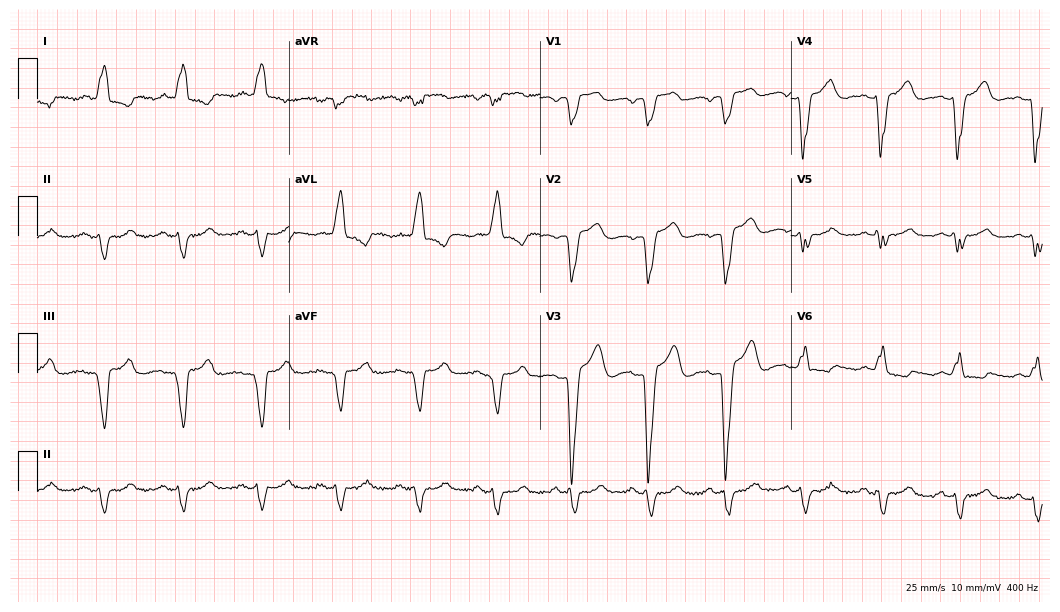
12-lead ECG (10.2-second recording at 400 Hz) from a 75-year-old woman. Findings include left bundle branch block (LBBB).